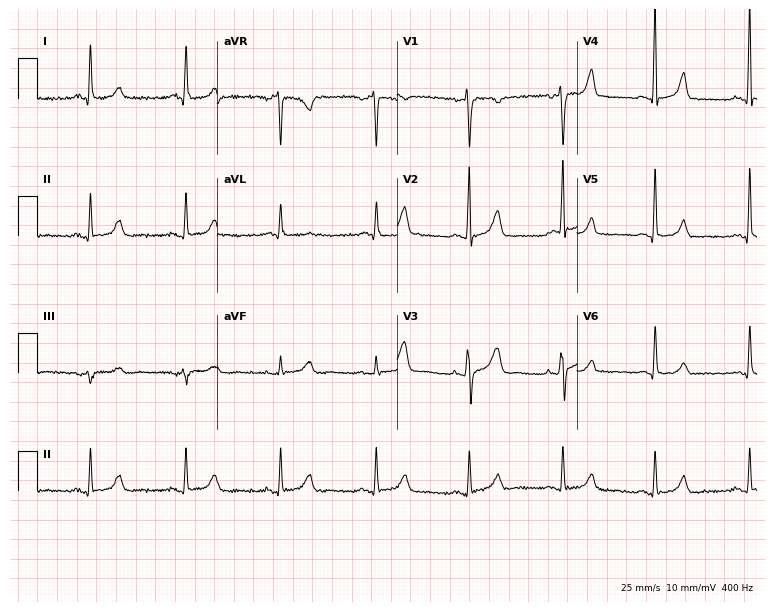
12-lead ECG from a 55-year-old female patient. Screened for six findings — first-degree AV block, right bundle branch block, left bundle branch block, sinus bradycardia, atrial fibrillation, sinus tachycardia — none is recorded. Only these six findings were labelled.